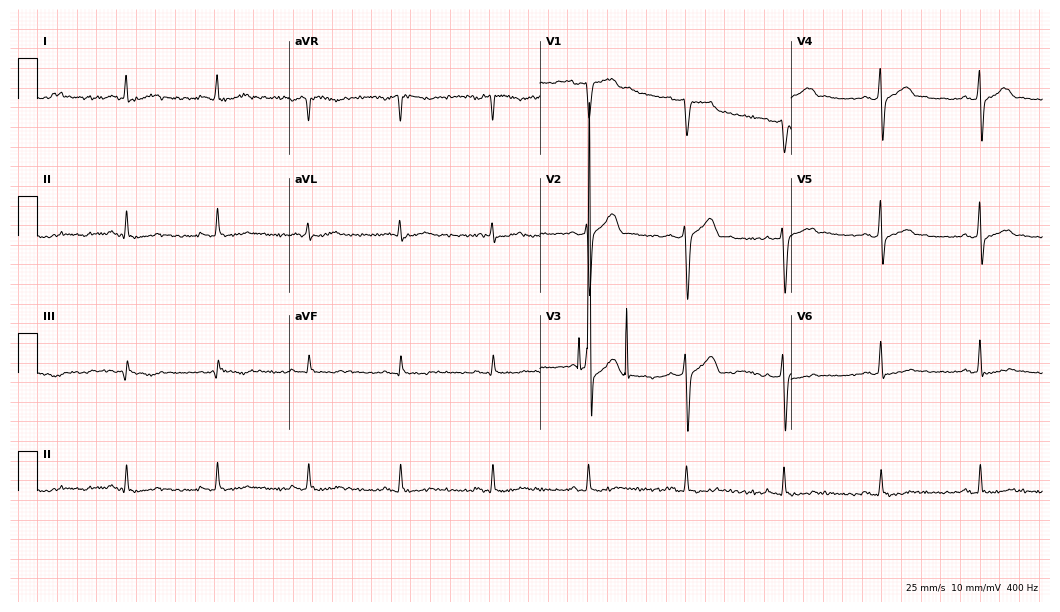
12-lead ECG from a male, 51 years old. Screened for six findings — first-degree AV block, right bundle branch block, left bundle branch block, sinus bradycardia, atrial fibrillation, sinus tachycardia — none is recorded. Only these six findings were labelled.